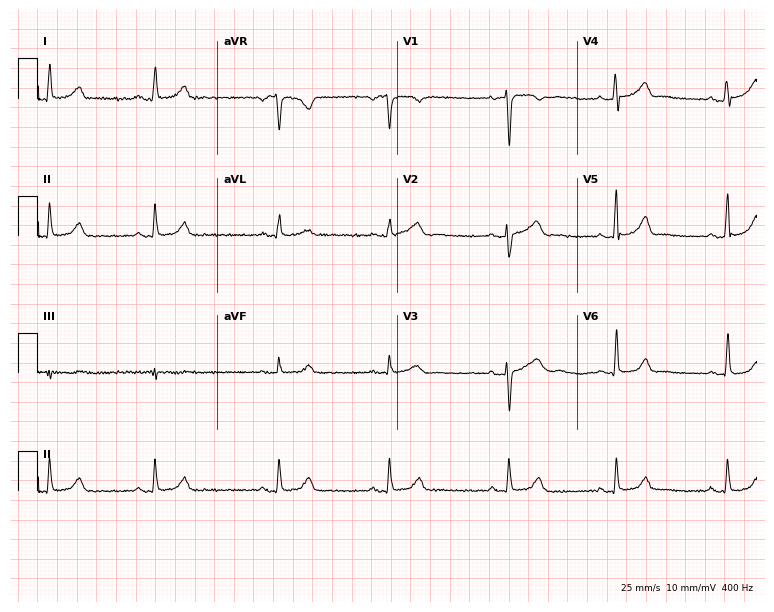
ECG — a 41-year-old woman. Screened for six findings — first-degree AV block, right bundle branch block, left bundle branch block, sinus bradycardia, atrial fibrillation, sinus tachycardia — none is recorded. Findings outside these six are not listed.